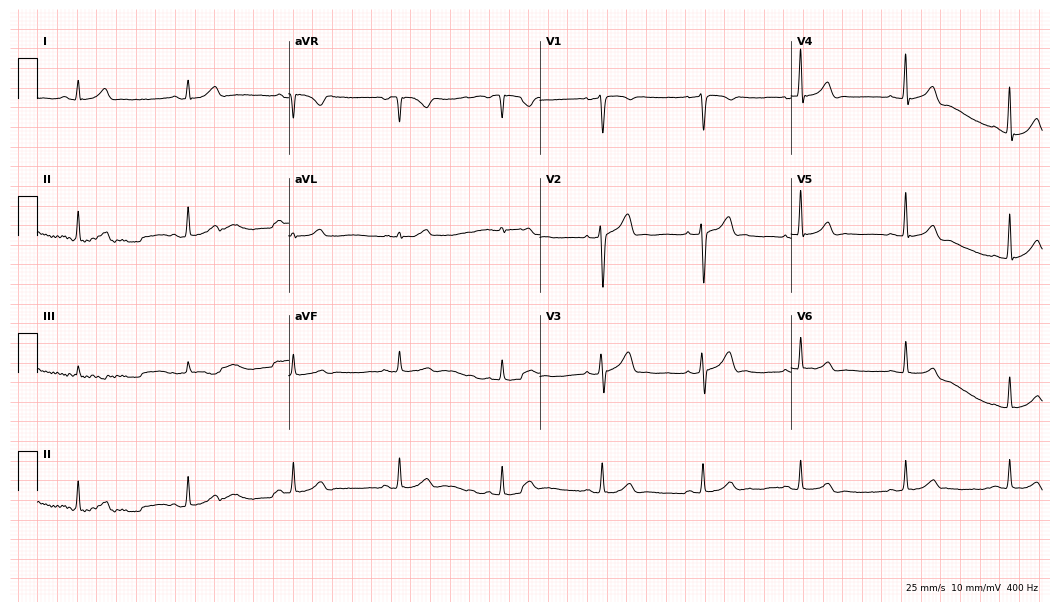
12-lead ECG from a man, 47 years old (10.2-second recording at 400 Hz). Recorded interpretation: within normal limits.